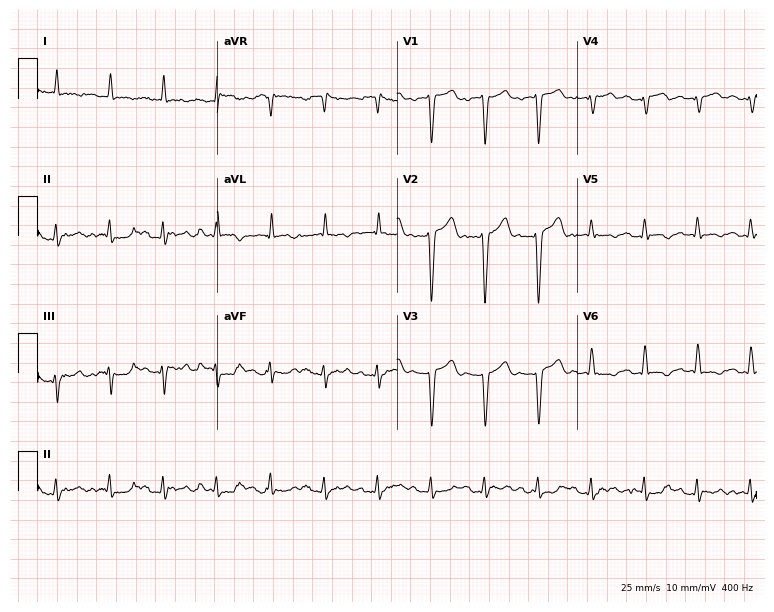
ECG (7.3-second recording at 400 Hz) — a 55-year-old woman. Screened for six findings — first-degree AV block, right bundle branch block (RBBB), left bundle branch block (LBBB), sinus bradycardia, atrial fibrillation (AF), sinus tachycardia — none is recorded.